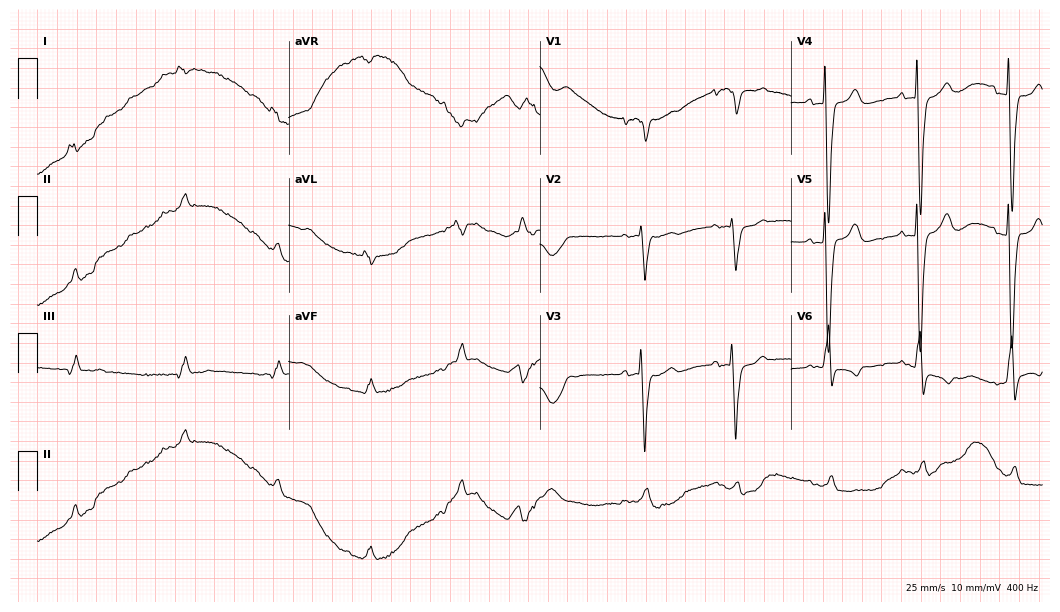
Electrocardiogram (10.2-second recording at 400 Hz), a man, 74 years old. Of the six screened findings (first-degree AV block, right bundle branch block, left bundle branch block, sinus bradycardia, atrial fibrillation, sinus tachycardia), none is recorded.